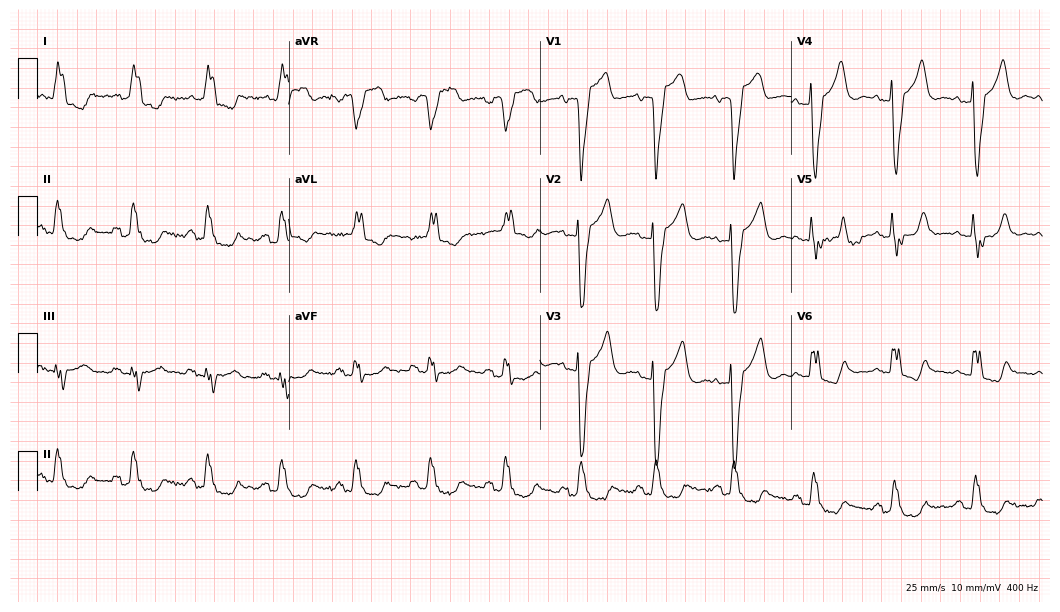
12-lead ECG (10.2-second recording at 400 Hz) from a female, 46 years old. Findings include left bundle branch block.